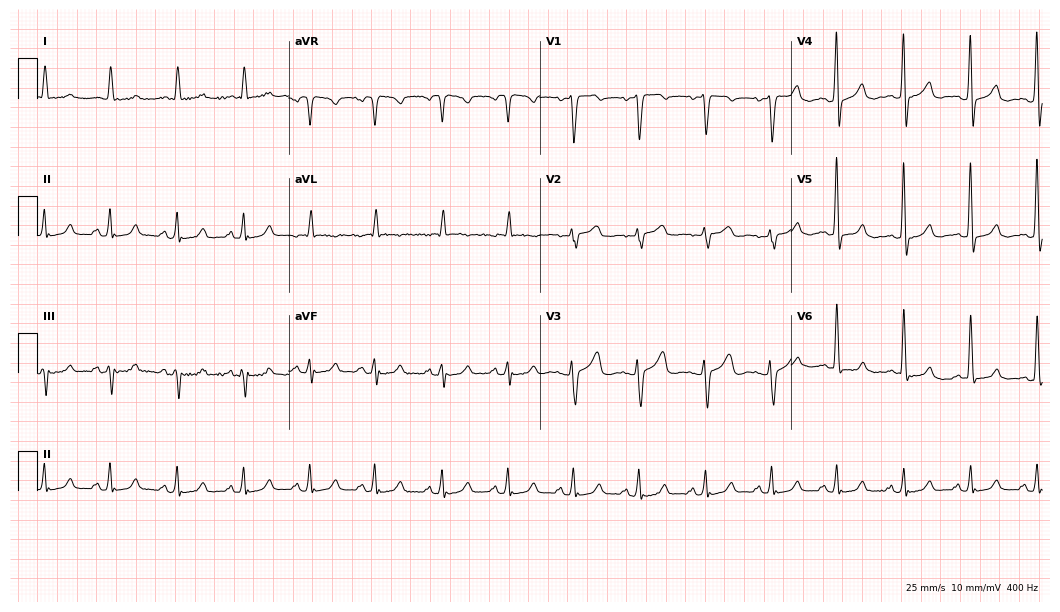
Resting 12-lead electrocardiogram (10.2-second recording at 400 Hz). Patient: a 61-year-old female. Read as a normal ECG.